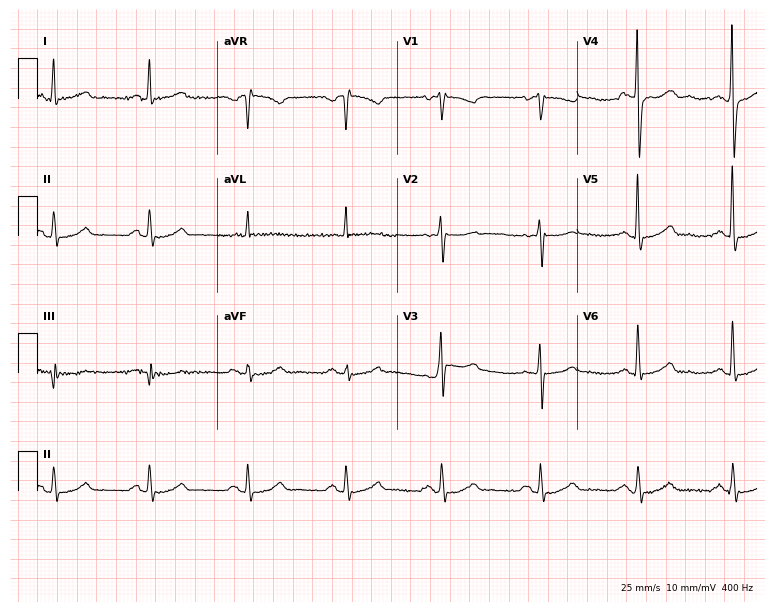
Standard 12-lead ECG recorded from a 65-year-old woman. None of these six findings is recorded: first-degree AV block, right bundle branch block, left bundle branch block, sinus bradycardia, atrial fibrillation, sinus tachycardia.